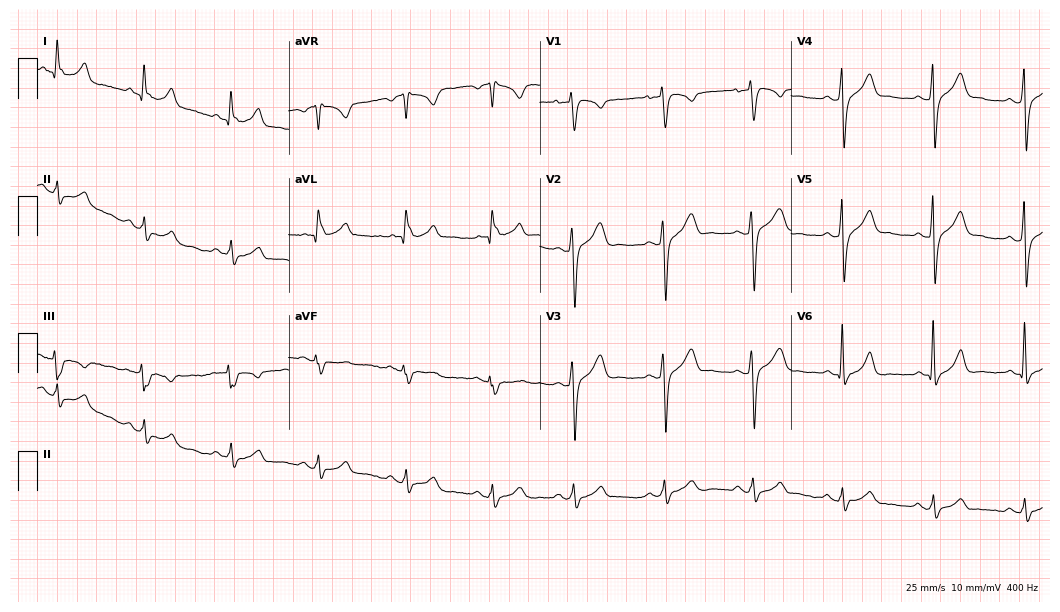
Resting 12-lead electrocardiogram (10.2-second recording at 400 Hz). Patient: a male, 40 years old. None of these six findings is recorded: first-degree AV block, right bundle branch block, left bundle branch block, sinus bradycardia, atrial fibrillation, sinus tachycardia.